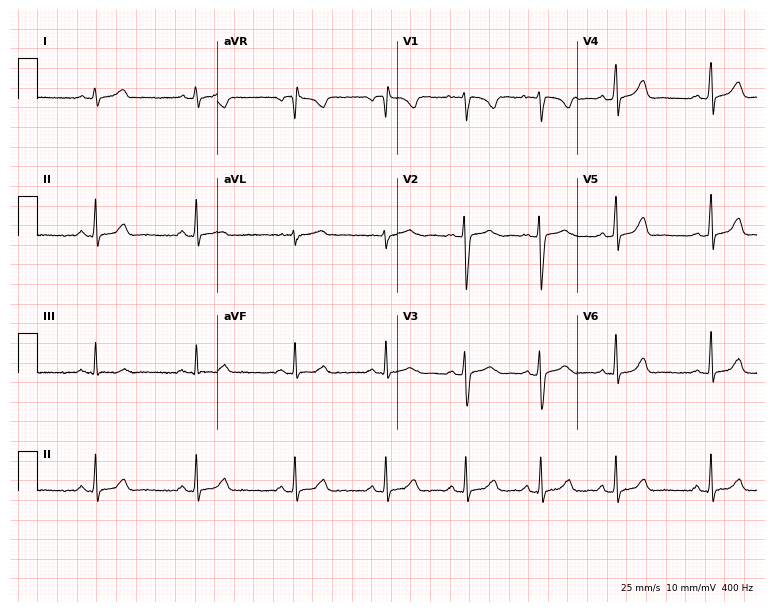
ECG (7.3-second recording at 400 Hz) — a woman, 21 years old. Labelled as a normal ECG.